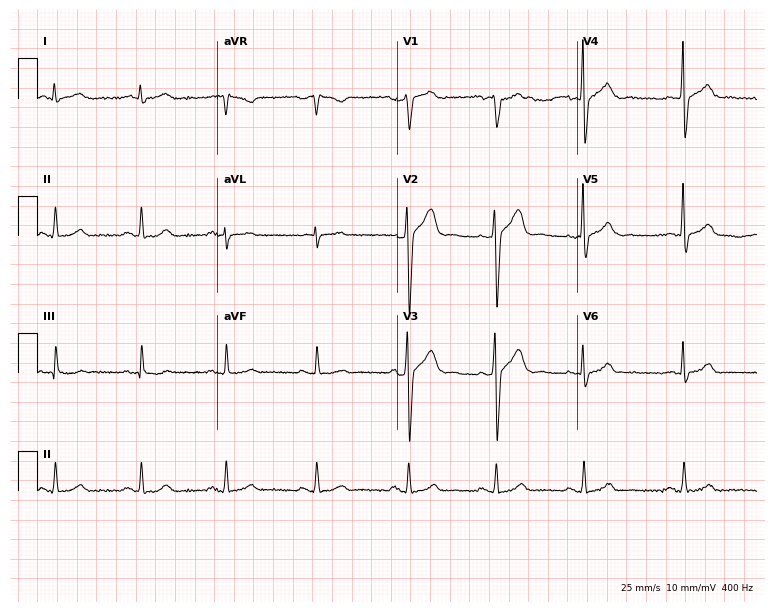
Standard 12-lead ECG recorded from a male patient, 39 years old. Read as a normal ECG.